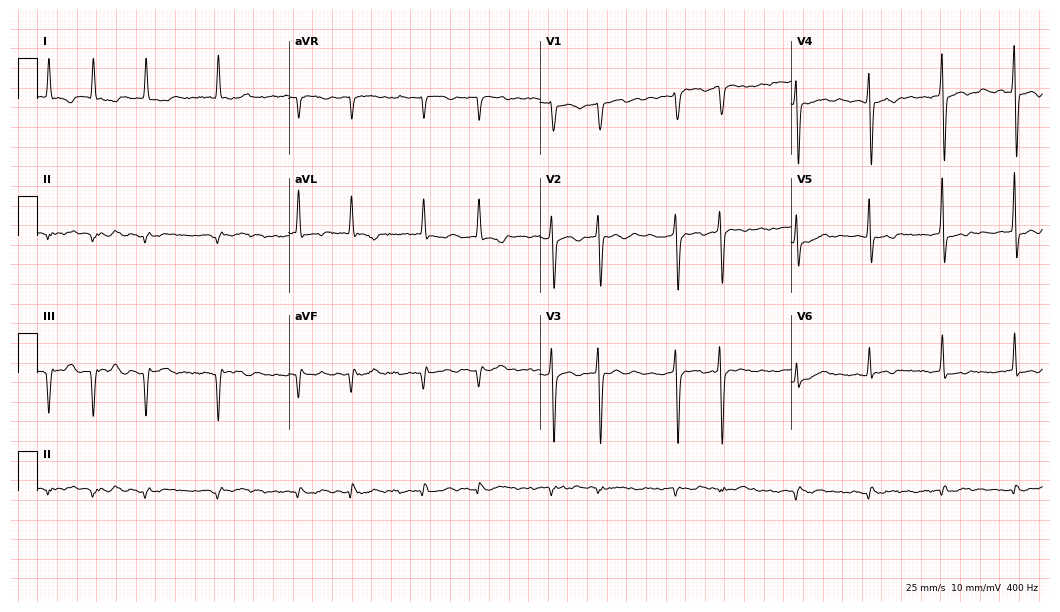
Standard 12-lead ECG recorded from a 77-year-old man. The tracing shows atrial fibrillation.